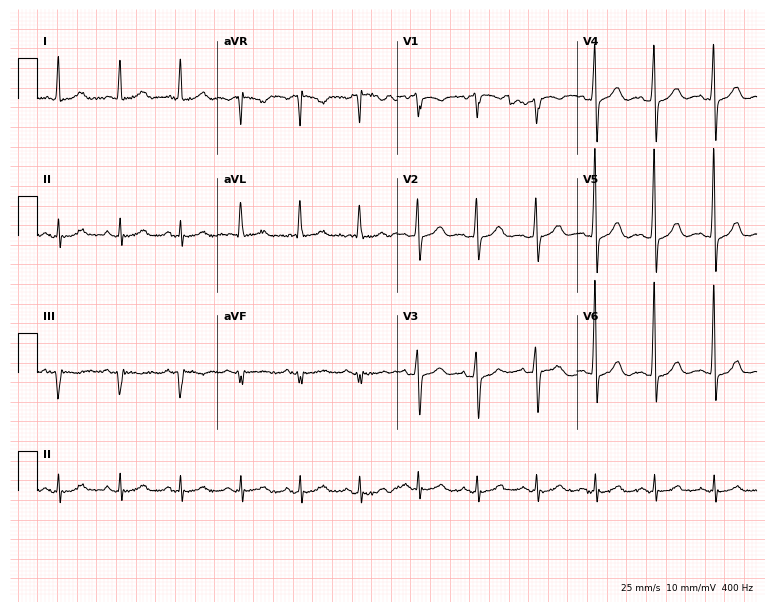
12-lead ECG from a woman, 73 years old (7.3-second recording at 400 Hz). No first-degree AV block, right bundle branch block (RBBB), left bundle branch block (LBBB), sinus bradycardia, atrial fibrillation (AF) or sinus tachycardia recorded for this tracing. Findings outside these six are not listed.